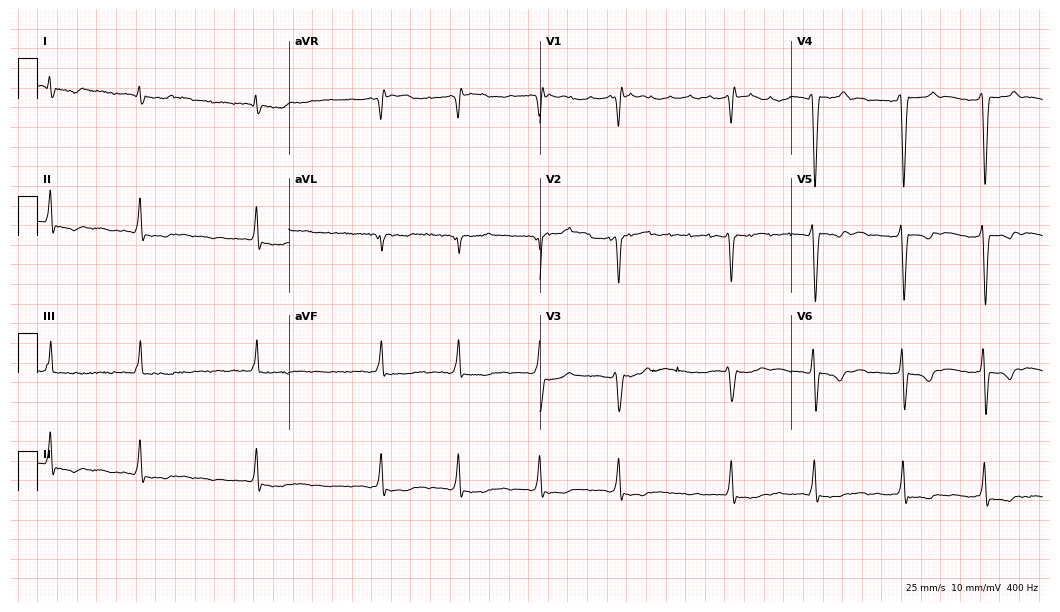
Electrocardiogram (10.2-second recording at 400 Hz), a 70-year-old male. Of the six screened findings (first-degree AV block, right bundle branch block, left bundle branch block, sinus bradycardia, atrial fibrillation, sinus tachycardia), none is recorded.